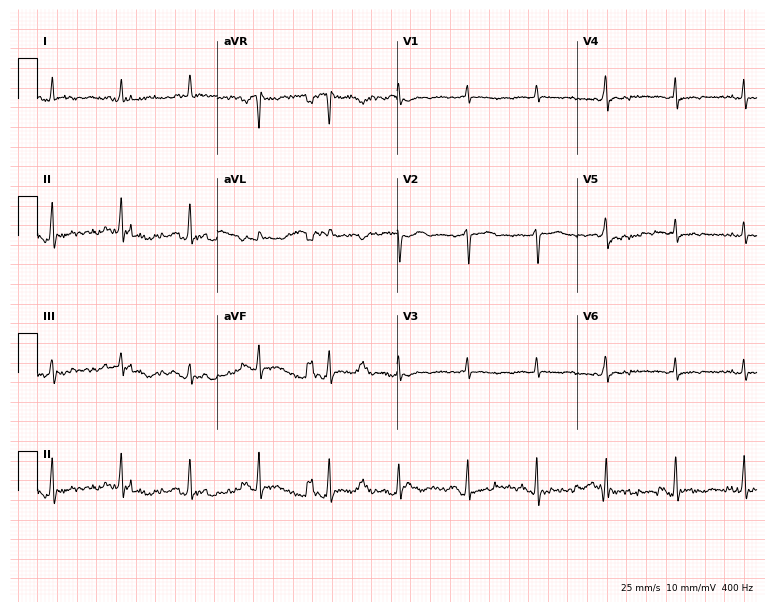
Standard 12-lead ECG recorded from a 63-year-old male (7.3-second recording at 400 Hz). None of these six findings is recorded: first-degree AV block, right bundle branch block (RBBB), left bundle branch block (LBBB), sinus bradycardia, atrial fibrillation (AF), sinus tachycardia. Other findings, if any, are not listed.